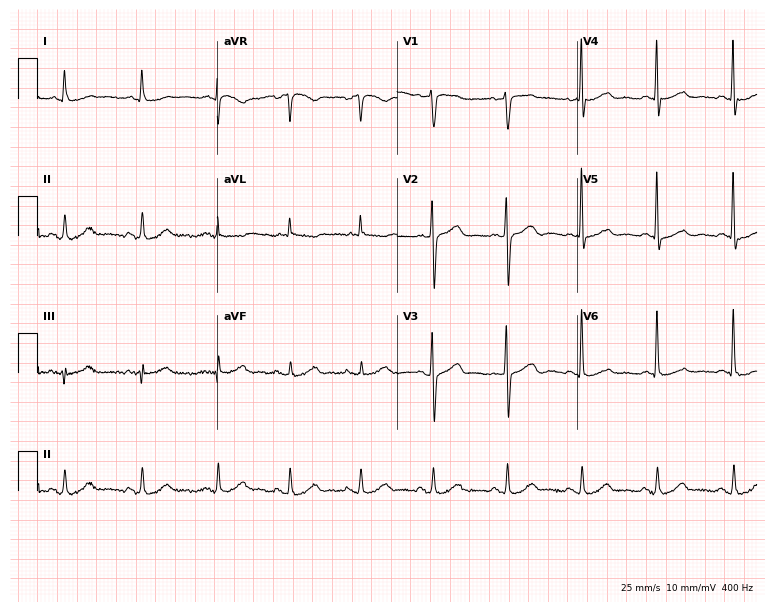
ECG — a 75-year-old man. Labelled as a normal ECG.